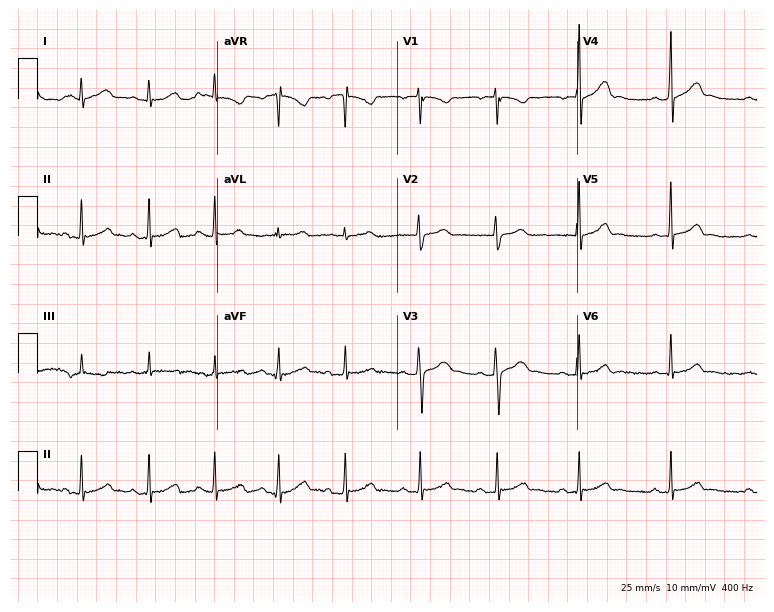
ECG (7.3-second recording at 400 Hz) — a female, 17 years old. Labelled as a normal ECG.